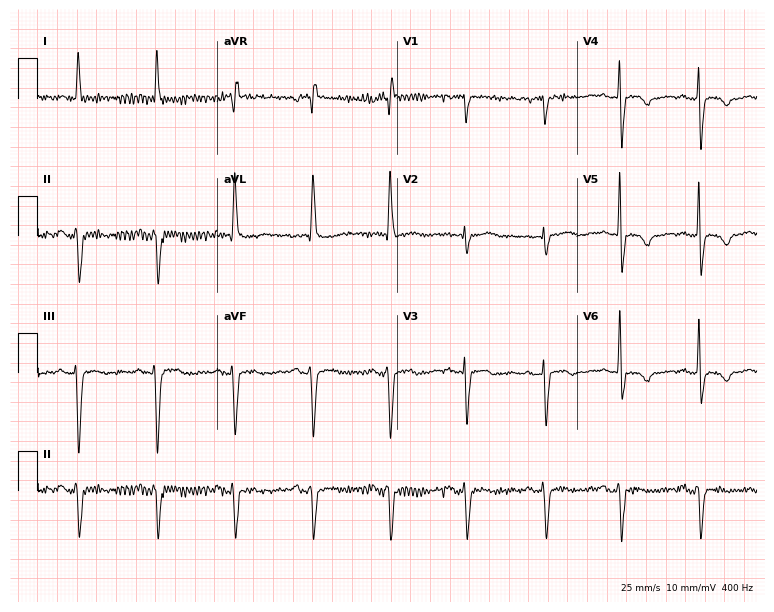
12-lead ECG from a female, 85 years old. Screened for six findings — first-degree AV block, right bundle branch block, left bundle branch block, sinus bradycardia, atrial fibrillation, sinus tachycardia — none is recorded. Other findings, if any, are not listed.